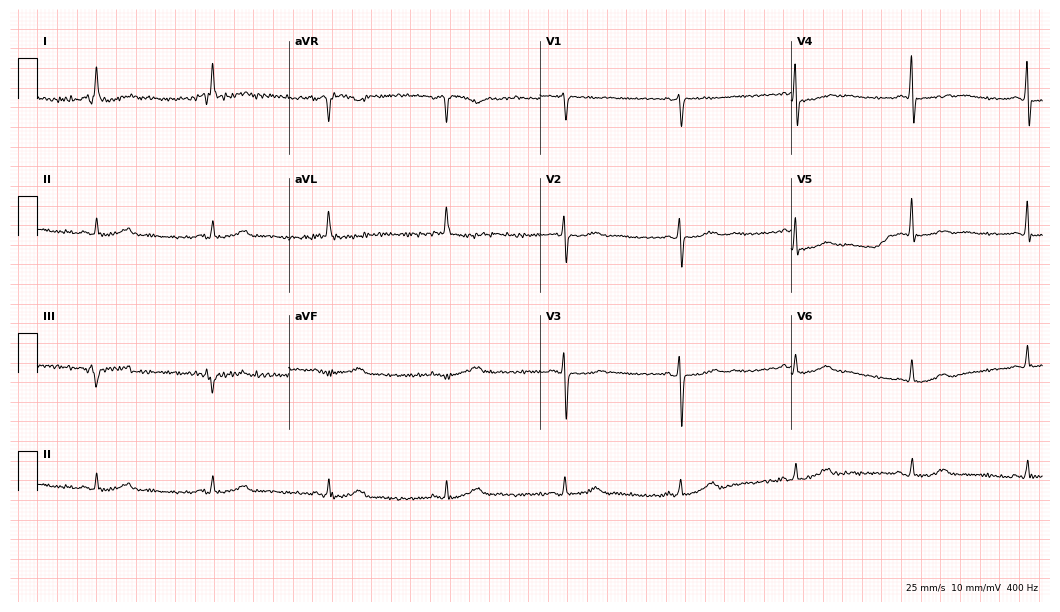
Resting 12-lead electrocardiogram (10.2-second recording at 400 Hz). Patient: a 75-year-old female. None of these six findings is recorded: first-degree AV block, right bundle branch block, left bundle branch block, sinus bradycardia, atrial fibrillation, sinus tachycardia. Only these six findings were labelled.